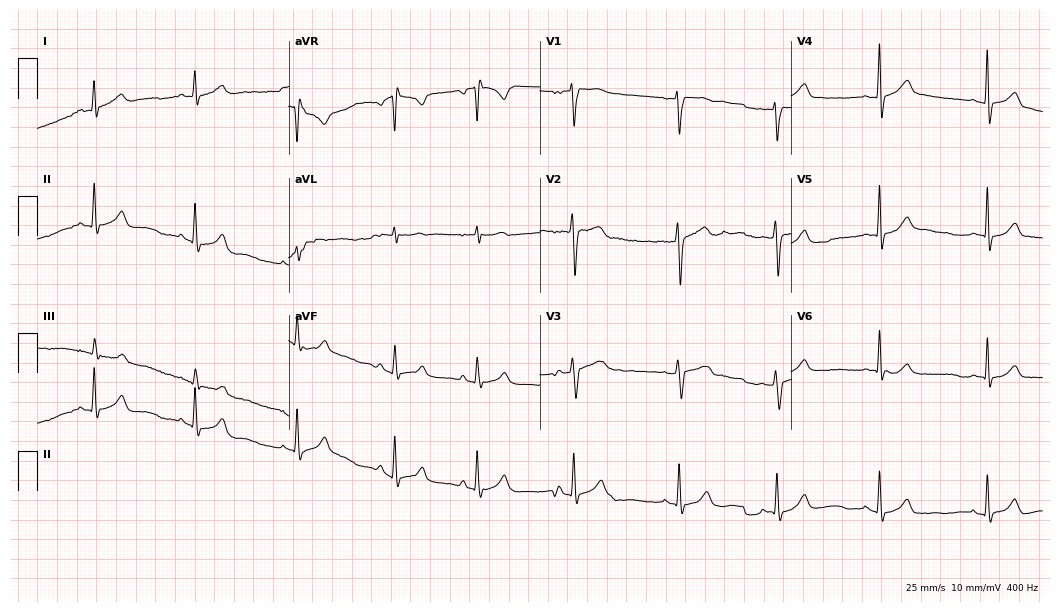
ECG — a male patient, 17 years old. Labelled as a normal ECG.